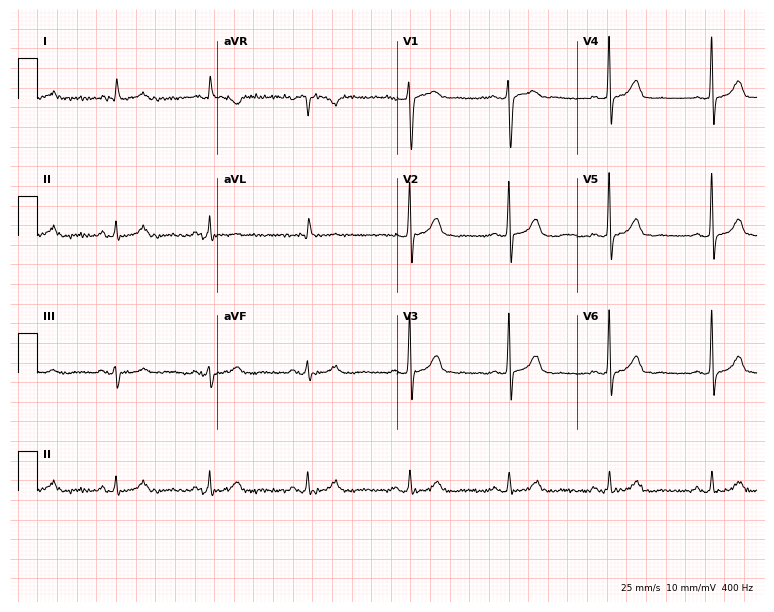
Standard 12-lead ECG recorded from a female, 56 years old. Read as a normal ECG.